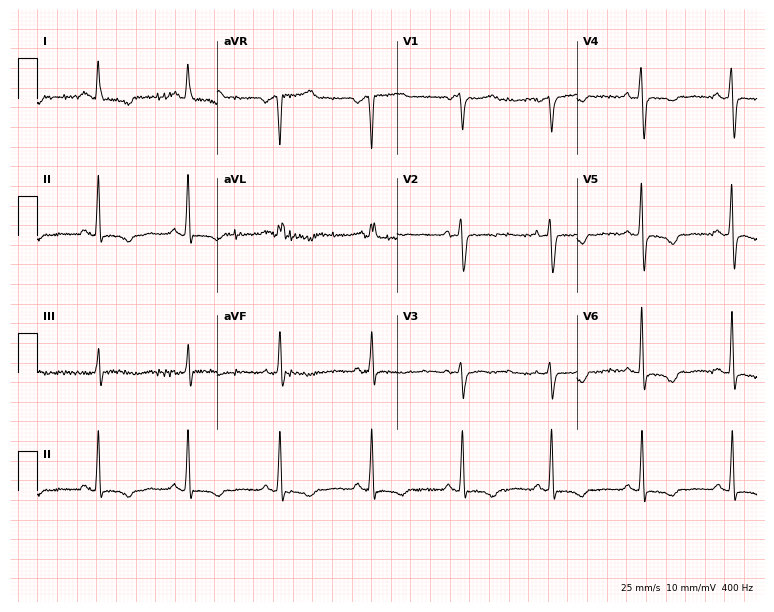
12-lead ECG from a 51-year-old woman. No first-degree AV block, right bundle branch block (RBBB), left bundle branch block (LBBB), sinus bradycardia, atrial fibrillation (AF) or sinus tachycardia recorded for this tracing.